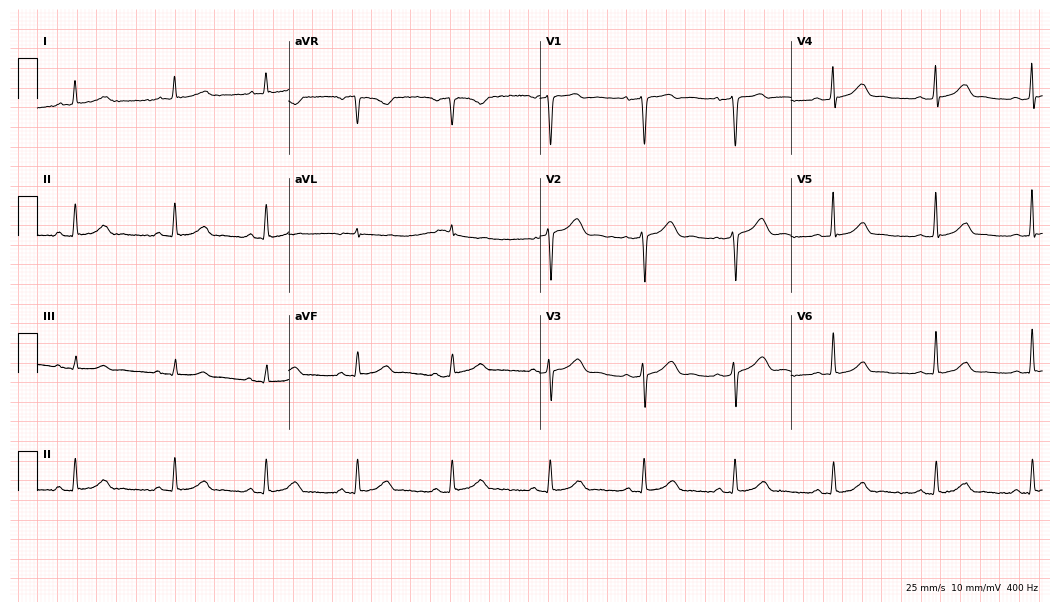
Standard 12-lead ECG recorded from a 59-year-old female patient. Read as a normal ECG.